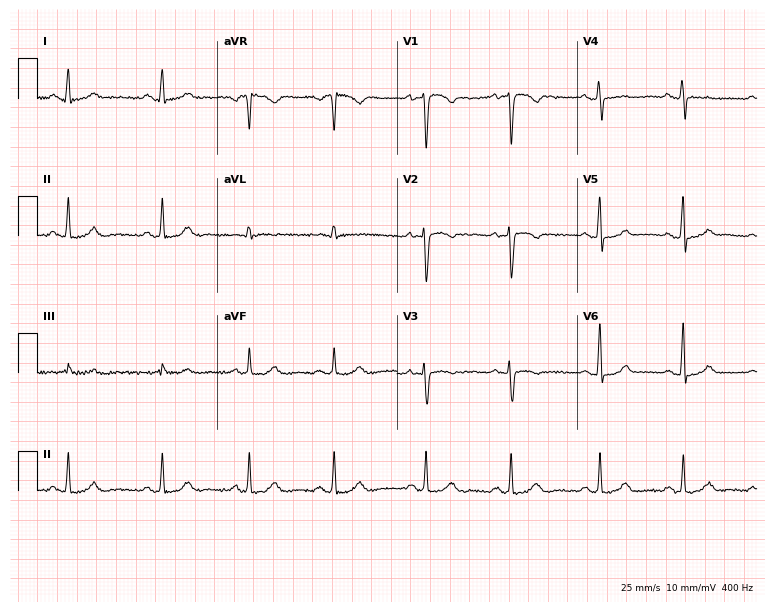
Resting 12-lead electrocardiogram (7.3-second recording at 400 Hz). Patient: a female, 28 years old. None of these six findings is recorded: first-degree AV block, right bundle branch block, left bundle branch block, sinus bradycardia, atrial fibrillation, sinus tachycardia.